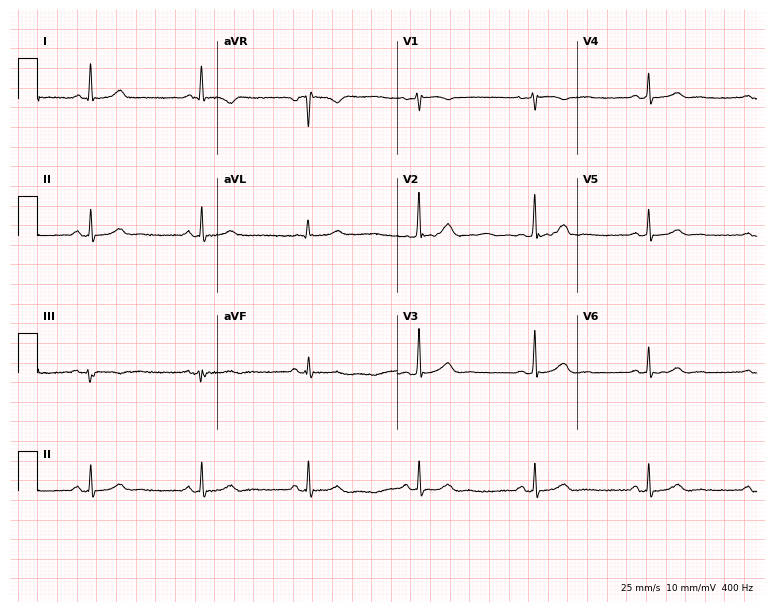
Electrocardiogram, a woman, 60 years old. Of the six screened findings (first-degree AV block, right bundle branch block (RBBB), left bundle branch block (LBBB), sinus bradycardia, atrial fibrillation (AF), sinus tachycardia), none is recorded. Other findings, if any, are not listed.